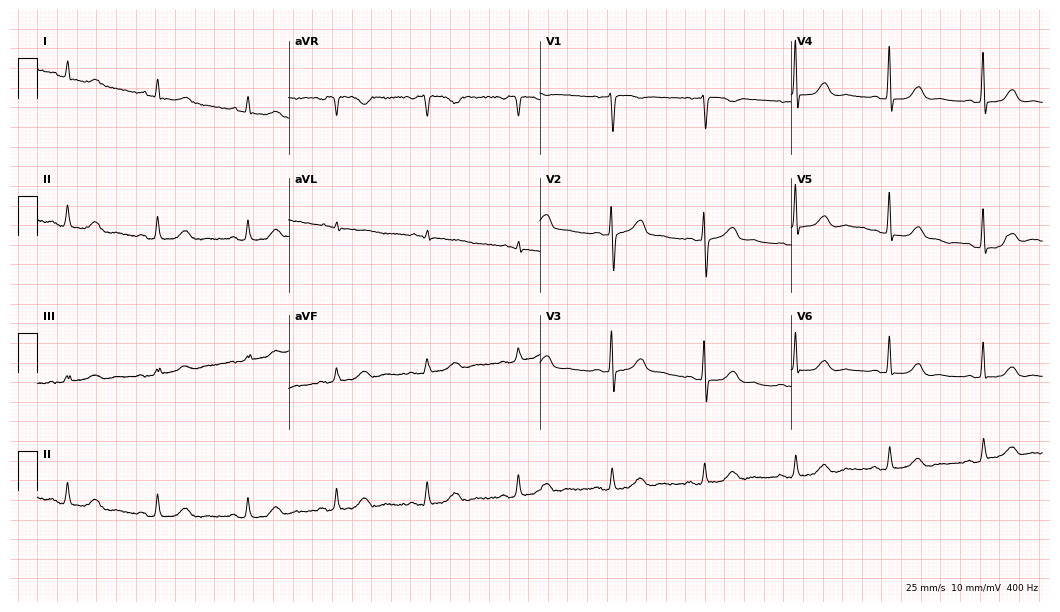
12-lead ECG (10.2-second recording at 400 Hz) from a 68-year-old female. Labelled as a normal ECG.